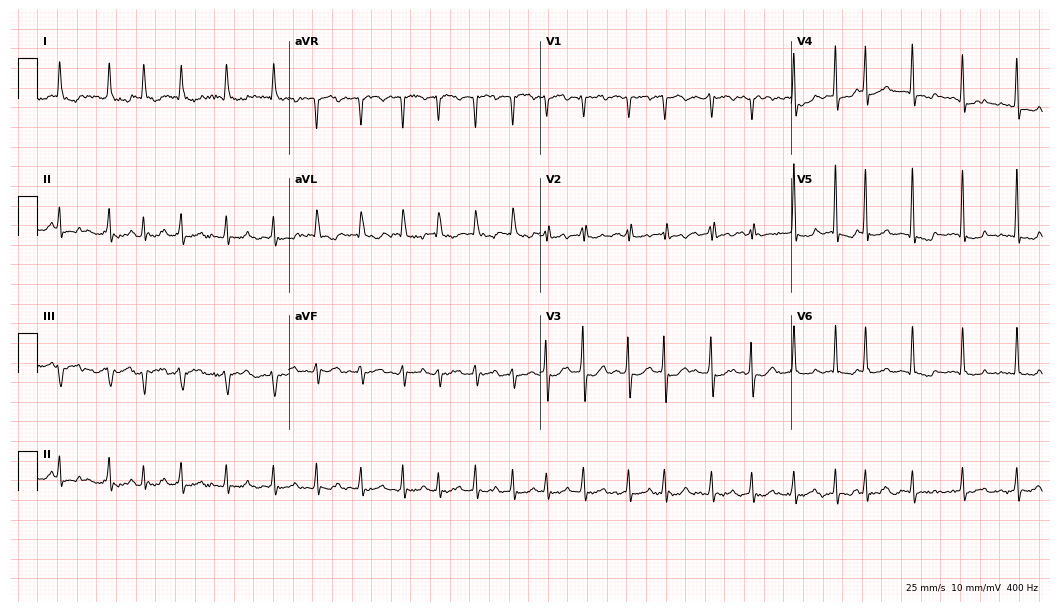
Standard 12-lead ECG recorded from a female patient, 65 years old (10.2-second recording at 400 Hz). The tracing shows atrial fibrillation.